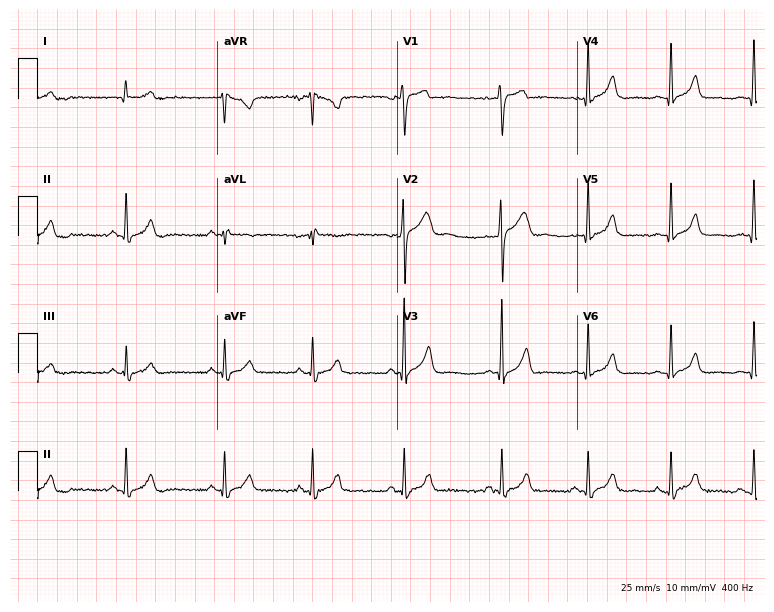
Standard 12-lead ECG recorded from a 26-year-old male. None of these six findings is recorded: first-degree AV block, right bundle branch block (RBBB), left bundle branch block (LBBB), sinus bradycardia, atrial fibrillation (AF), sinus tachycardia.